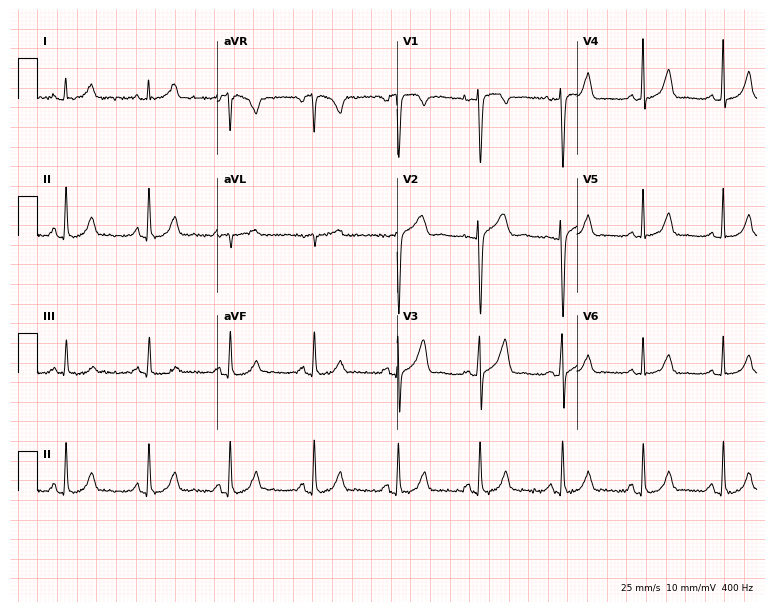
12-lead ECG (7.3-second recording at 400 Hz) from a female, 27 years old. Labelled as a normal ECG.